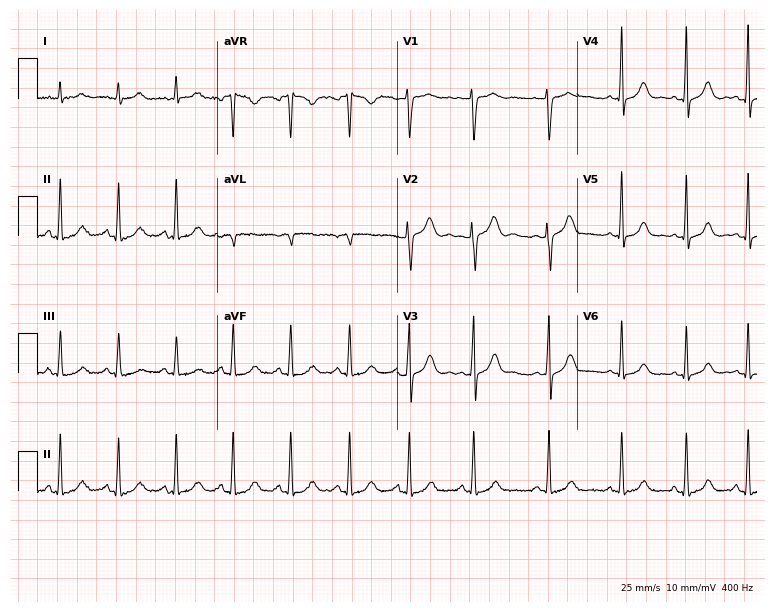
Standard 12-lead ECG recorded from a 27-year-old female patient. Read as a normal ECG.